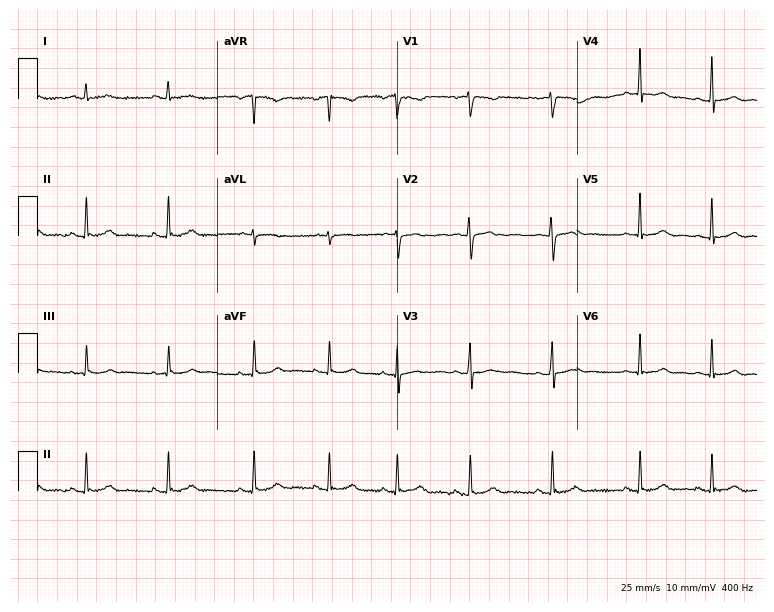
12-lead ECG (7.3-second recording at 400 Hz) from a 24-year-old female patient. Screened for six findings — first-degree AV block, right bundle branch block (RBBB), left bundle branch block (LBBB), sinus bradycardia, atrial fibrillation (AF), sinus tachycardia — none is recorded.